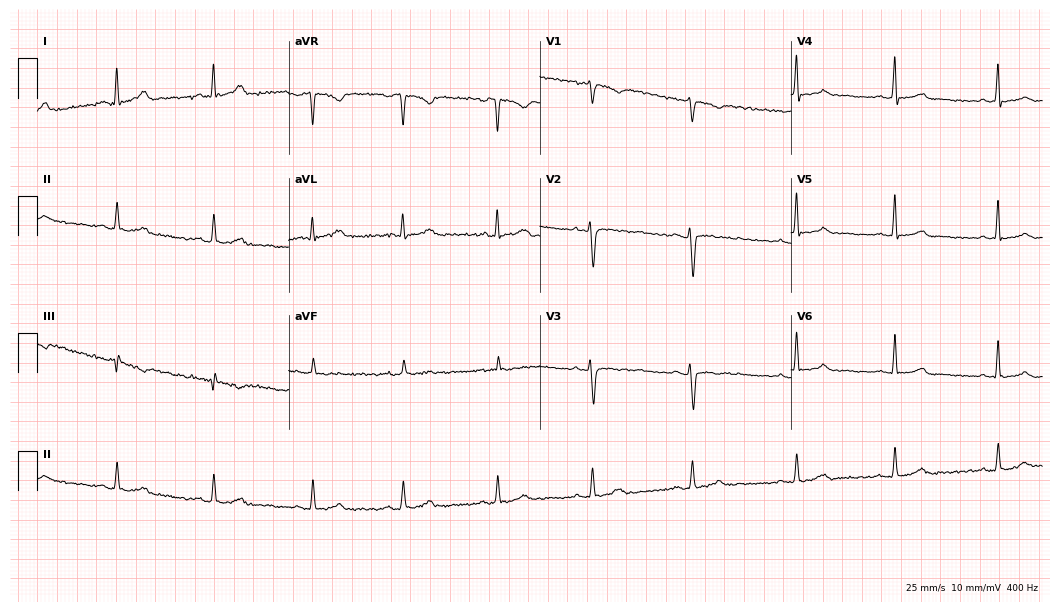
12-lead ECG from a 34-year-old female patient (10.2-second recording at 400 Hz). Recorded interpretation: within normal limits.